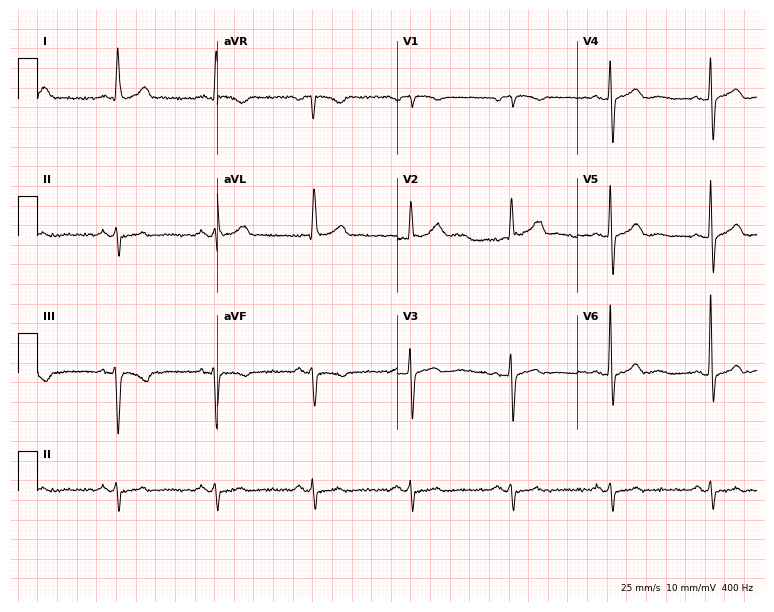
12-lead ECG from a woman, 79 years old. Screened for six findings — first-degree AV block, right bundle branch block, left bundle branch block, sinus bradycardia, atrial fibrillation, sinus tachycardia — none is recorded.